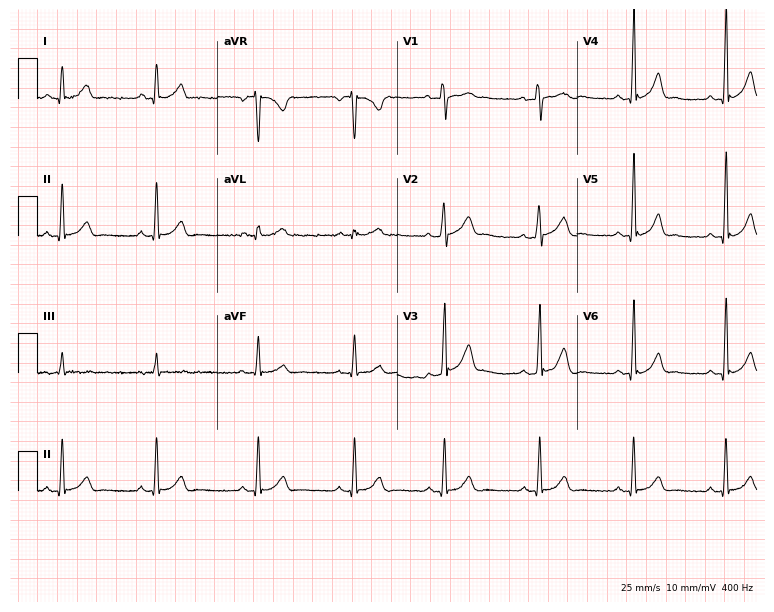
12-lead ECG from a 20-year-old man. Labelled as a normal ECG.